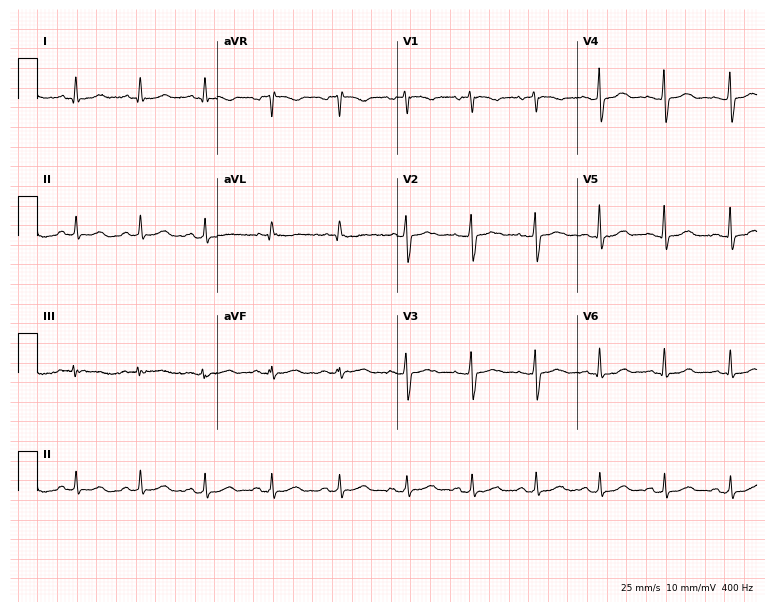
Electrocardiogram (7.3-second recording at 400 Hz), a female, 46 years old. Overall reading on record: normal ECG.